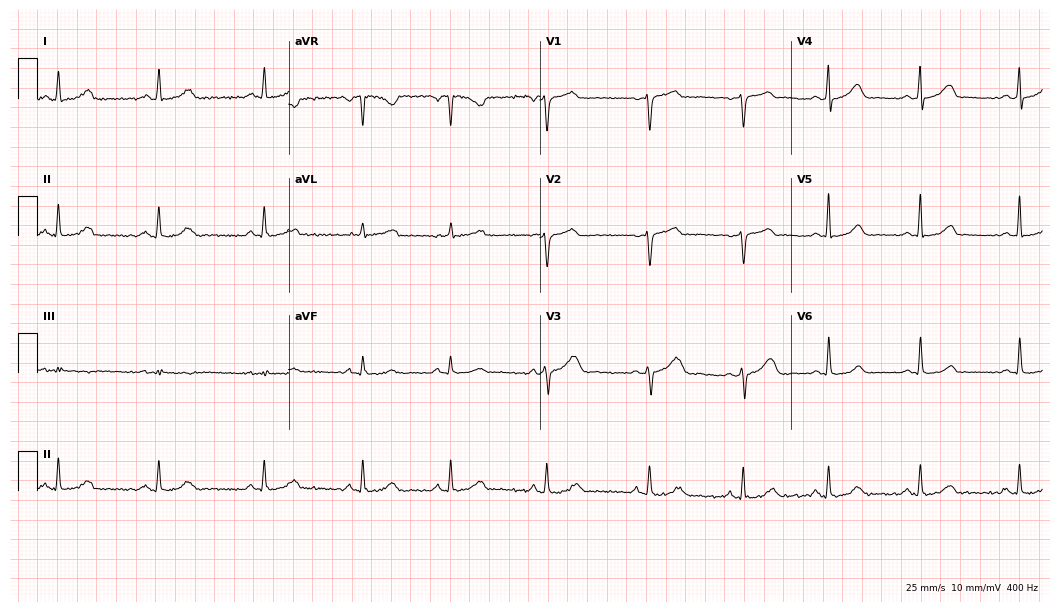
Resting 12-lead electrocardiogram. Patient: a 38-year-old female. Read as a normal ECG.